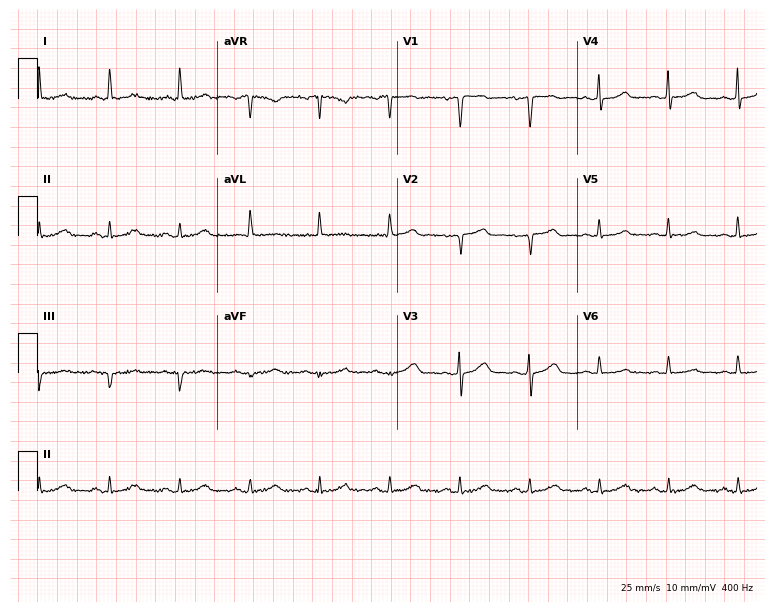
12-lead ECG (7.3-second recording at 400 Hz) from a 64-year-old woman. Labelled as a normal ECG.